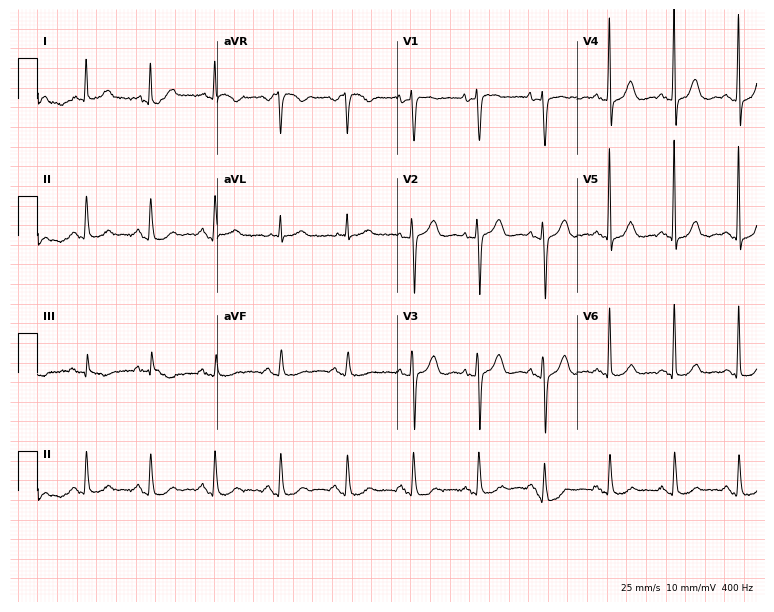
ECG — an 80-year-old woman. Labelled as a normal ECG.